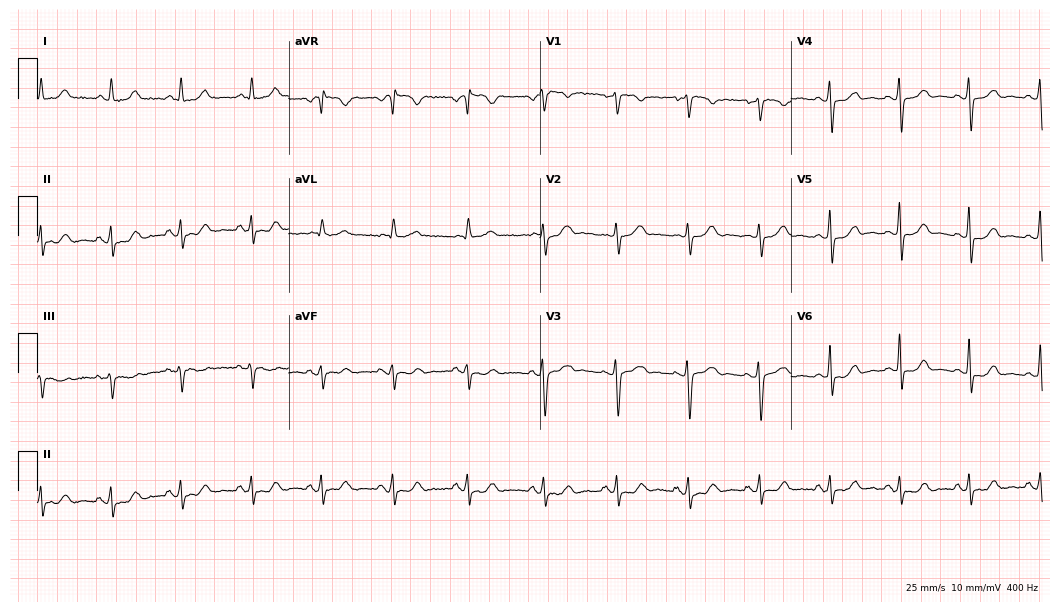
Electrocardiogram, a 44-year-old female patient. Overall reading on record: normal ECG.